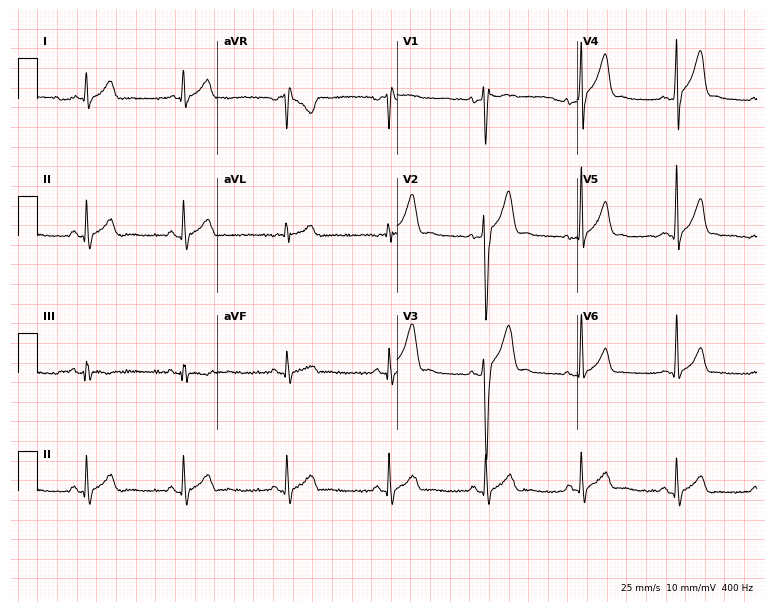
Electrocardiogram (7.3-second recording at 400 Hz), a 22-year-old male patient. Of the six screened findings (first-degree AV block, right bundle branch block (RBBB), left bundle branch block (LBBB), sinus bradycardia, atrial fibrillation (AF), sinus tachycardia), none is recorded.